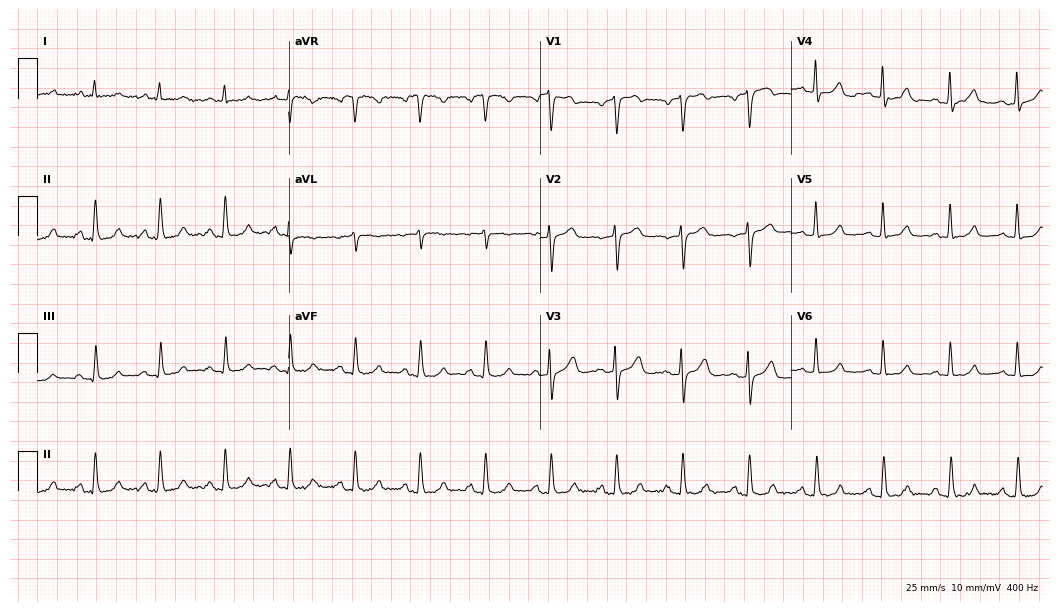
Resting 12-lead electrocardiogram (10.2-second recording at 400 Hz). Patient: a 68-year-old woman. Read as a normal ECG.